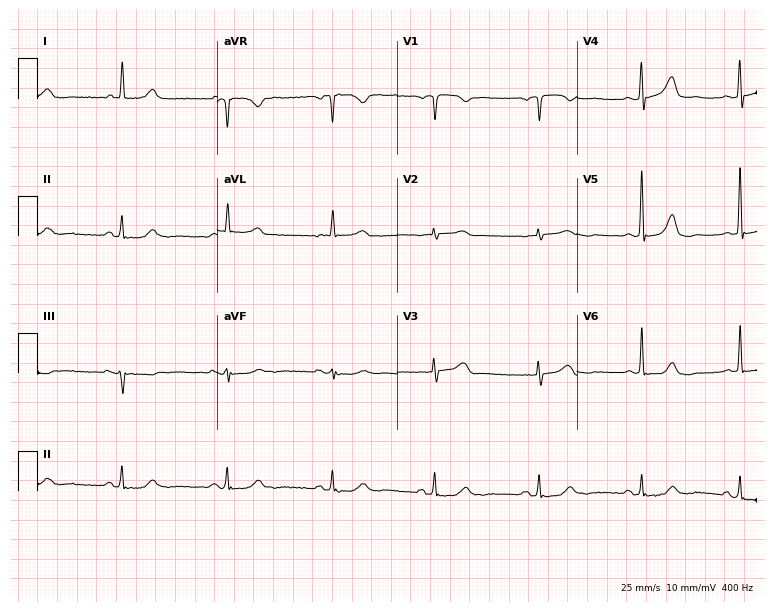
Electrocardiogram, a female, 66 years old. Of the six screened findings (first-degree AV block, right bundle branch block, left bundle branch block, sinus bradycardia, atrial fibrillation, sinus tachycardia), none is recorded. Only these six findings were labelled.